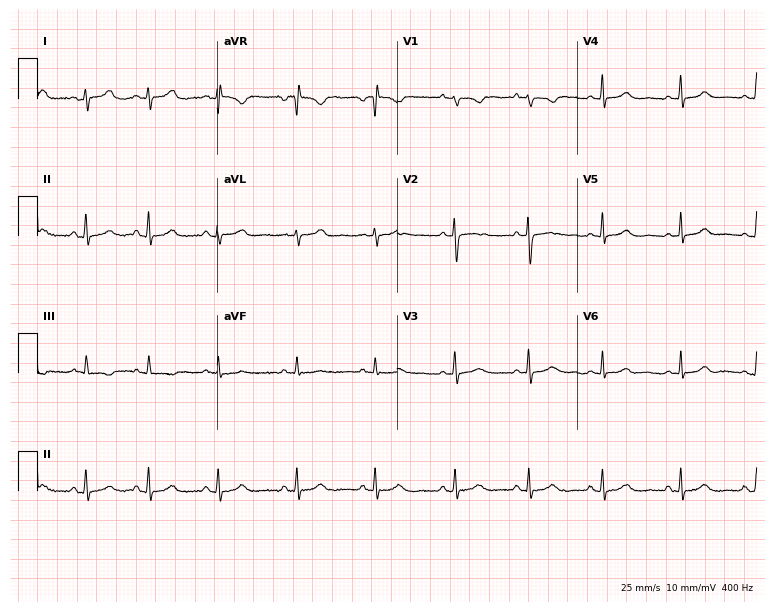
12-lead ECG from a 19-year-old woman. Screened for six findings — first-degree AV block, right bundle branch block, left bundle branch block, sinus bradycardia, atrial fibrillation, sinus tachycardia — none is recorded. Findings outside these six are not listed.